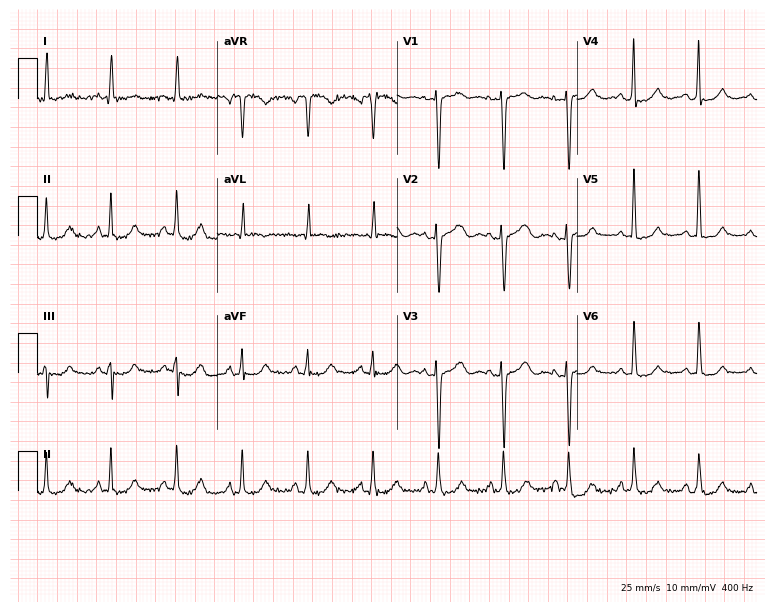
Resting 12-lead electrocardiogram. Patient: a male, 64 years old. Read as a normal ECG.